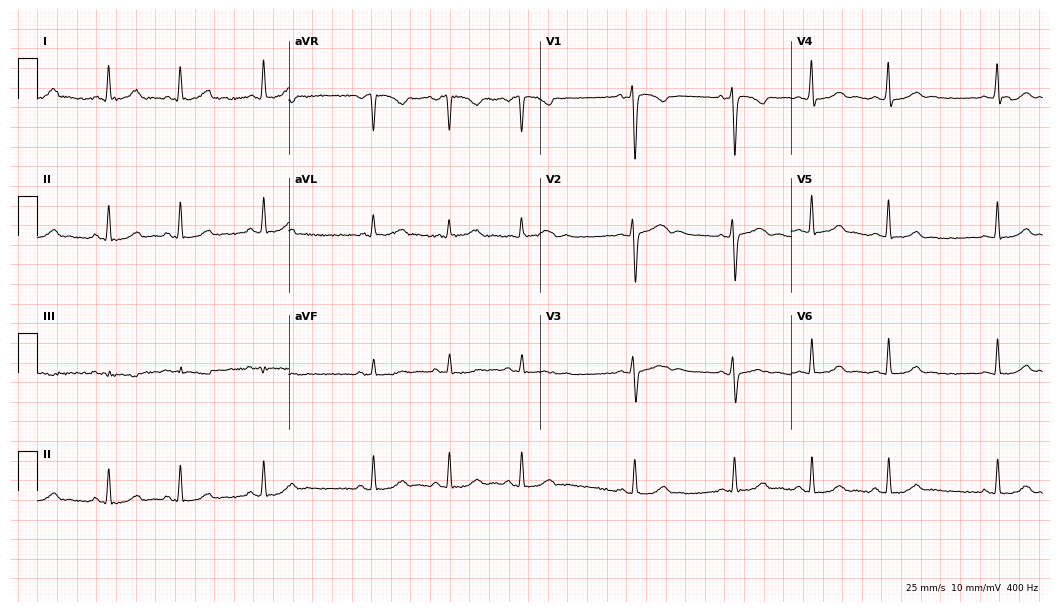
Standard 12-lead ECG recorded from a 24-year-old female patient. Read as a normal ECG.